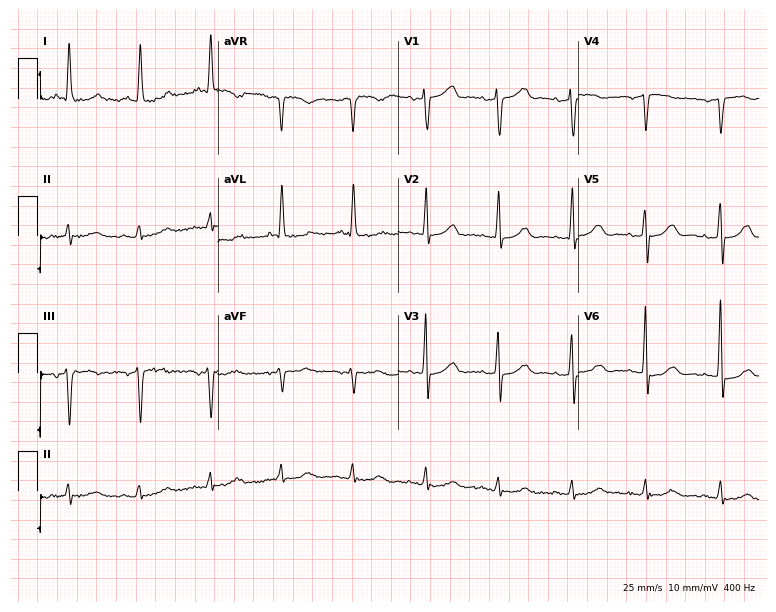
12-lead ECG from a woman, 83 years old (7.4-second recording at 400 Hz). No first-degree AV block, right bundle branch block, left bundle branch block, sinus bradycardia, atrial fibrillation or sinus tachycardia recorded for this tracing.